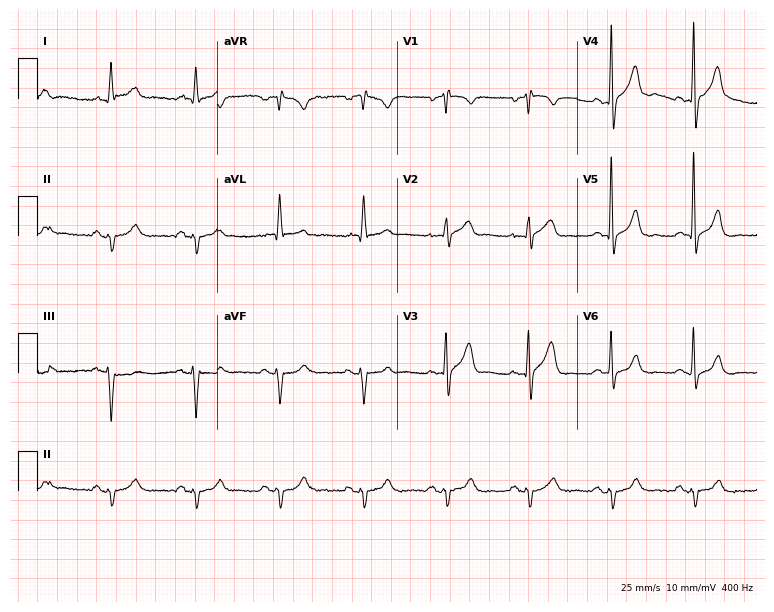
Standard 12-lead ECG recorded from a man, 68 years old (7.3-second recording at 400 Hz). None of these six findings is recorded: first-degree AV block, right bundle branch block, left bundle branch block, sinus bradycardia, atrial fibrillation, sinus tachycardia. Only these six findings were labelled.